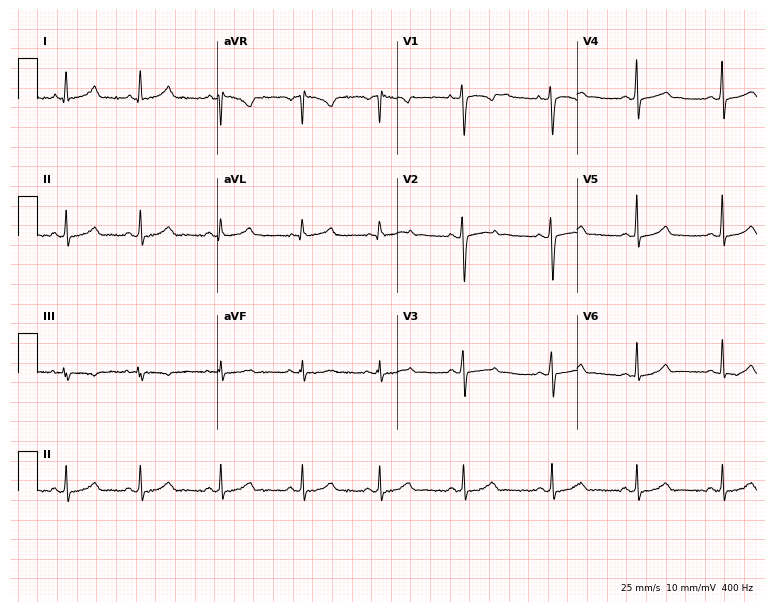
Electrocardiogram (7.3-second recording at 400 Hz), a woman, 32 years old. Overall reading on record: normal ECG.